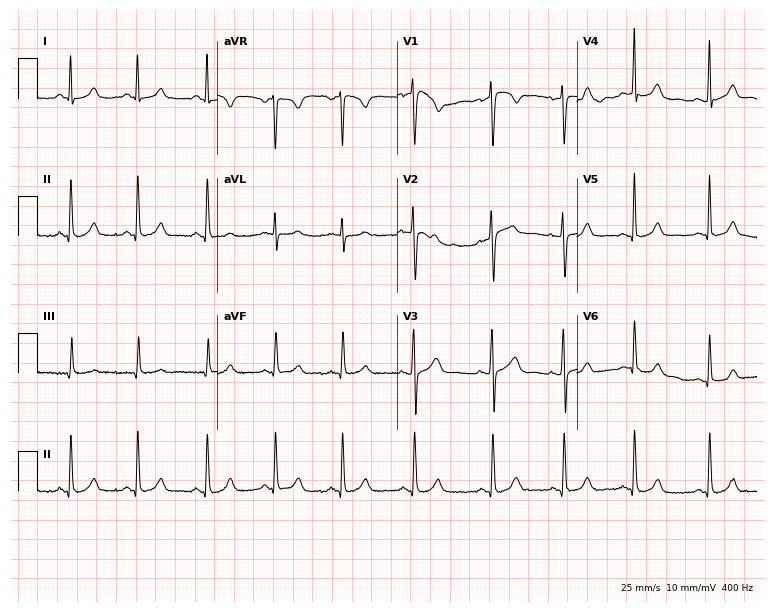
12-lead ECG from a female, 23 years old (7.3-second recording at 400 Hz). Recorded interpretation: within normal limits.